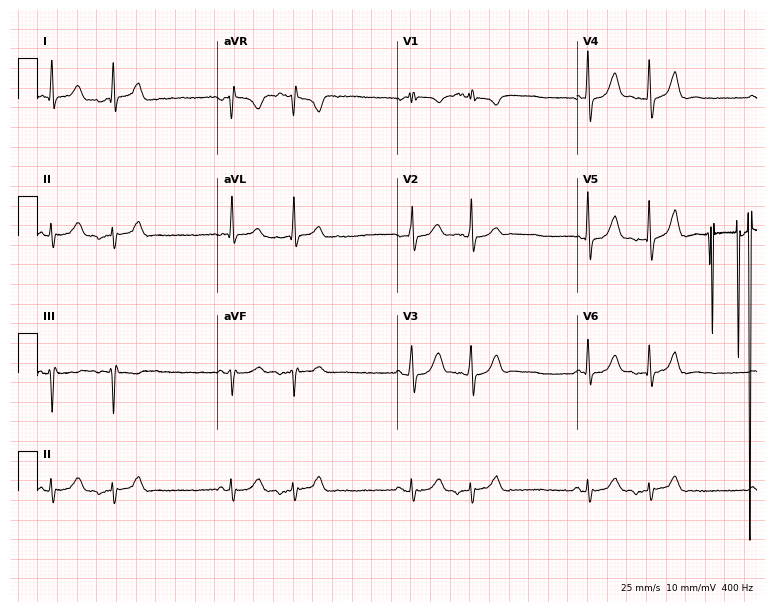
Standard 12-lead ECG recorded from an 82-year-old man. None of these six findings is recorded: first-degree AV block, right bundle branch block, left bundle branch block, sinus bradycardia, atrial fibrillation, sinus tachycardia. Only these six findings were labelled.